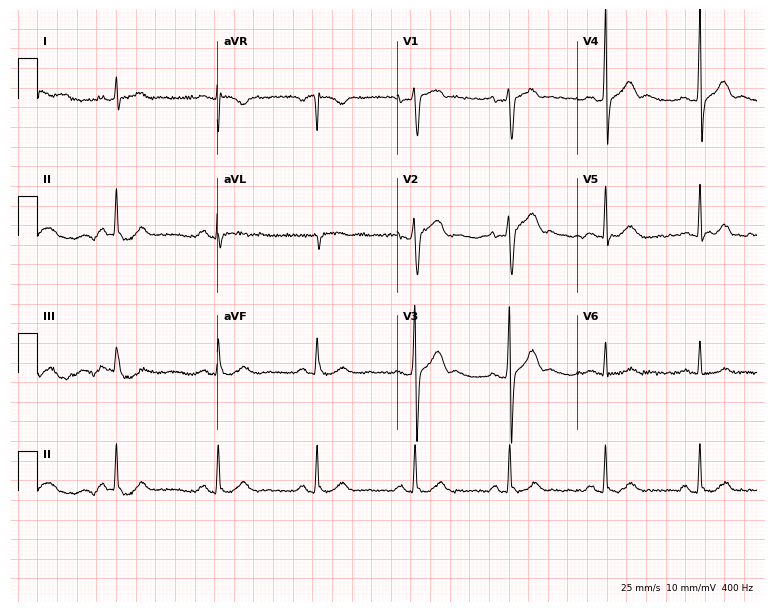
Electrocardiogram, a man, 32 years old. Of the six screened findings (first-degree AV block, right bundle branch block (RBBB), left bundle branch block (LBBB), sinus bradycardia, atrial fibrillation (AF), sinus tachycardia), none is recorded.